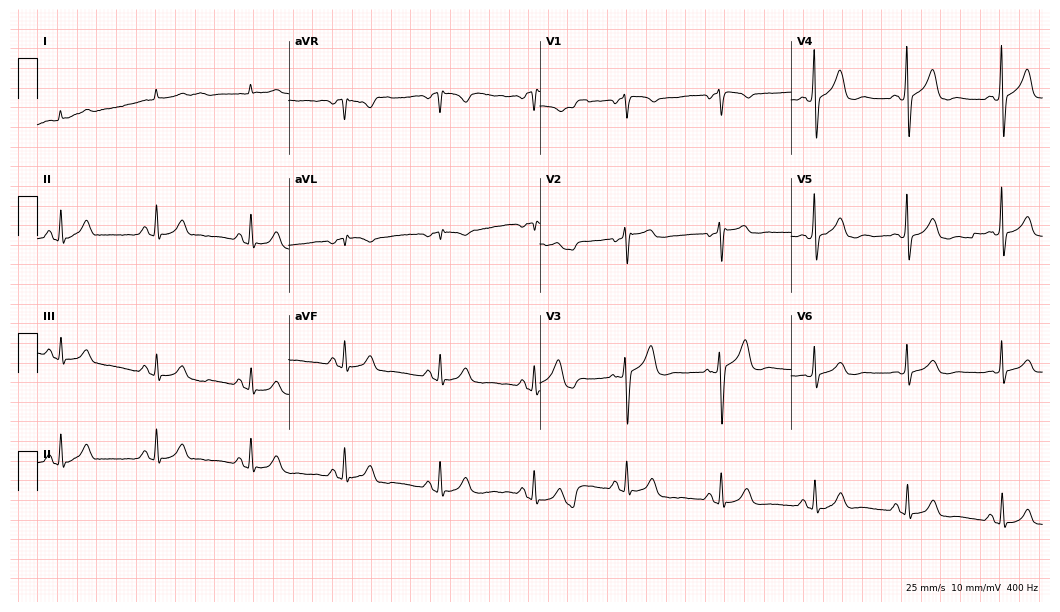
Standard 12-lead ECG recorded from a 71-year-old male (10.2-second recording at 400 Hz). Read as a normal ECG.